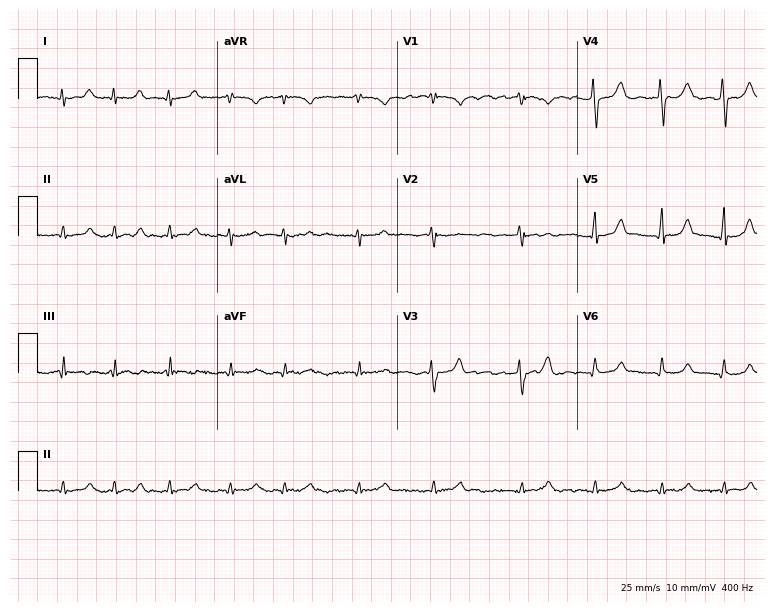
12-lead ECG from a 58-year-old woman (7.3-second recording at 400 Hz). Shows atrial fibrillation (AF).